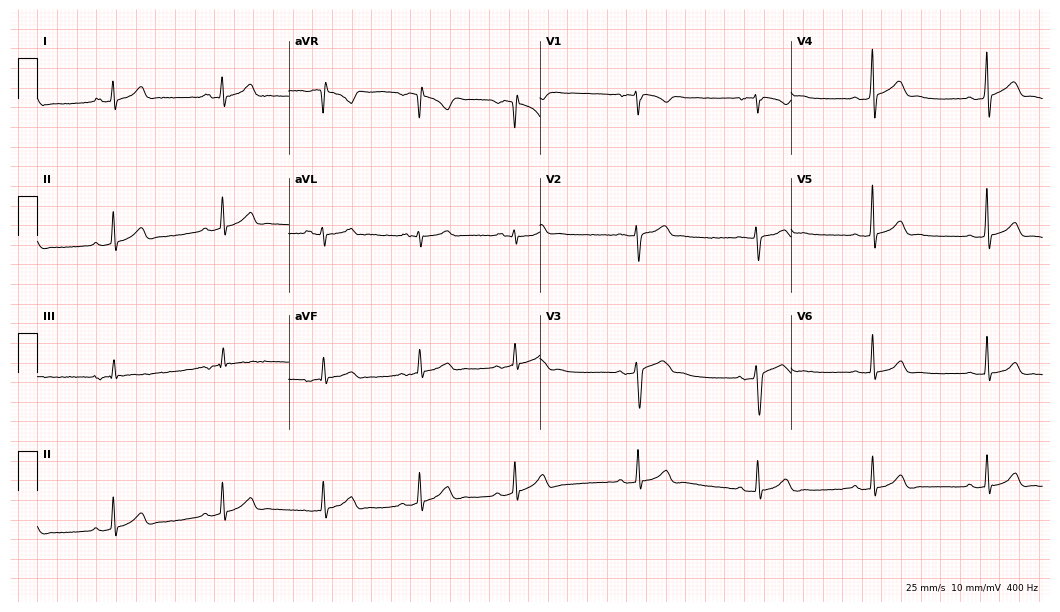
12-lead ECG (10.2-second recording at 400 Hz) from a 25-year-old male patient. Labelled as a normal ECG.